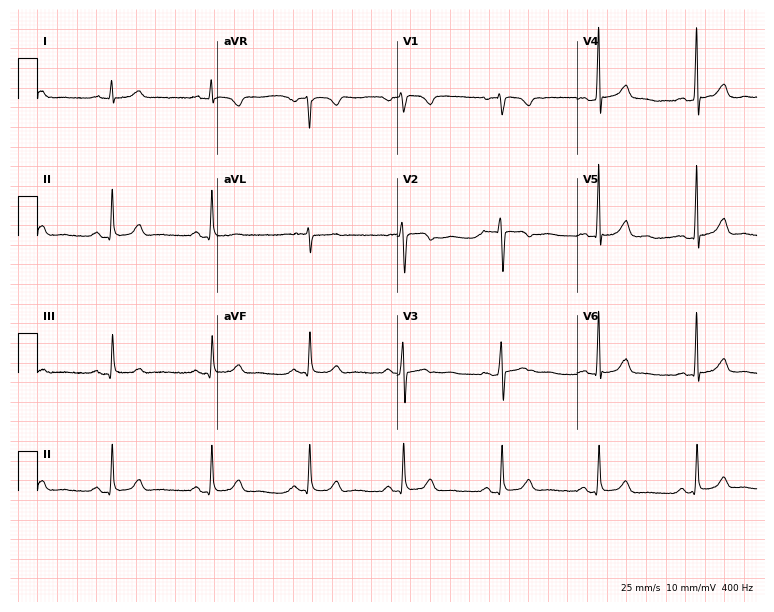
ECG (7.3-second recording at 400 Hz) — a 58-year-old woman. Labelled as a normal ECG.